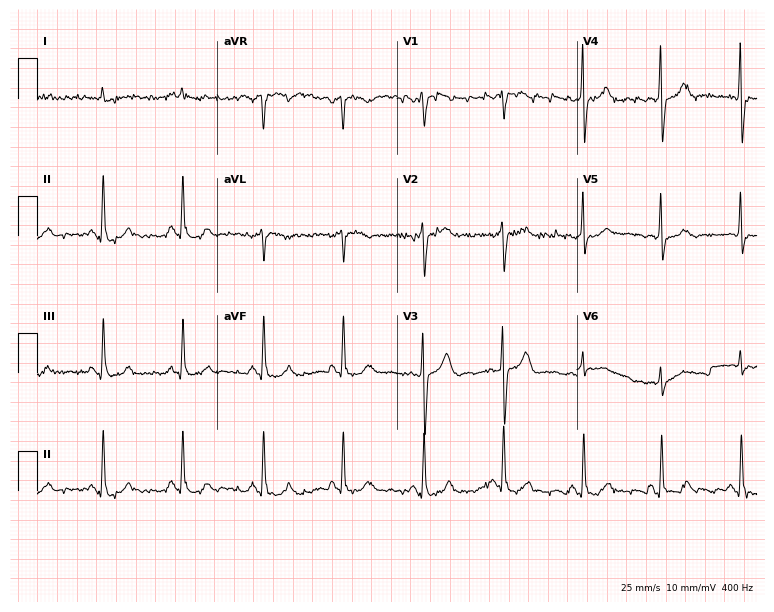
ECG (7.3-second recording at 400 Hz) — an 85-year-old man. Labelled as a normal ECG.